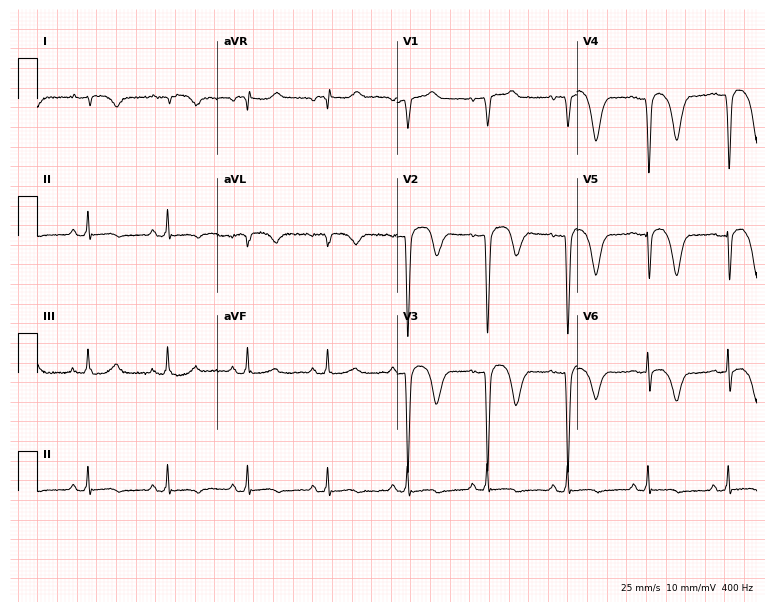
Electrocardiogram, a 46-year-old male. Of the six screened findings (first-degree AV block, right bundle branch block, left bundle branch block, sinus bradycardia, atrial fibrillation, sinus tachycardia), none is recorded. Only these six findings were labelled.